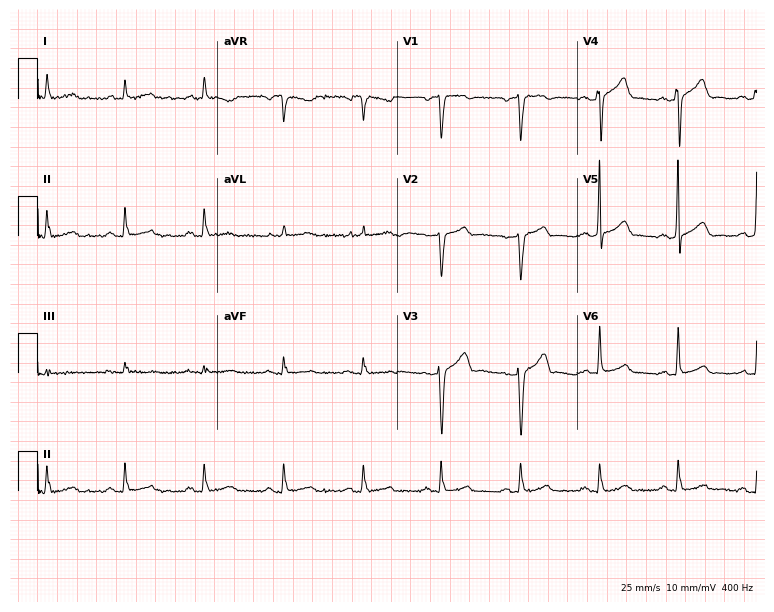
Resting 12-lead electrocardiogram. Patient: a male, 63 years old. None of these six findings is recorded: first-degree AV block, right bundle branch block, left bundle branch block, sinus bradycardia, atrial fibrillation, sinus tachycardia.